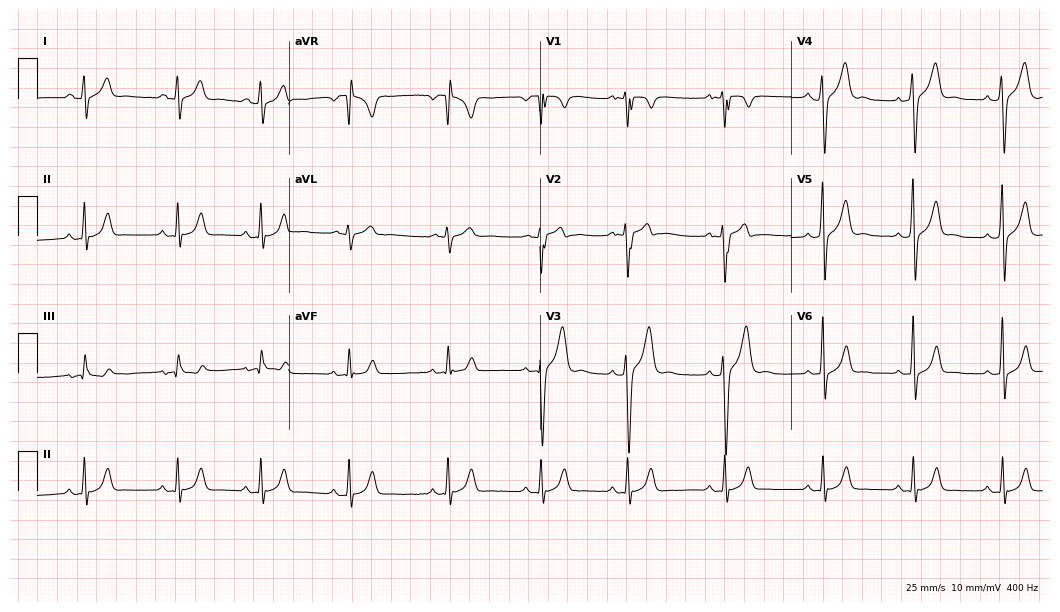
ECG — a male, 17 years old. Screened for six findings — first-degree AV block, right bundle branch block, left bundle branch block, sinus bradycardia, atrial fibrillation, sinus tachycardia — none is recorded. Findings outside these six are not listed.